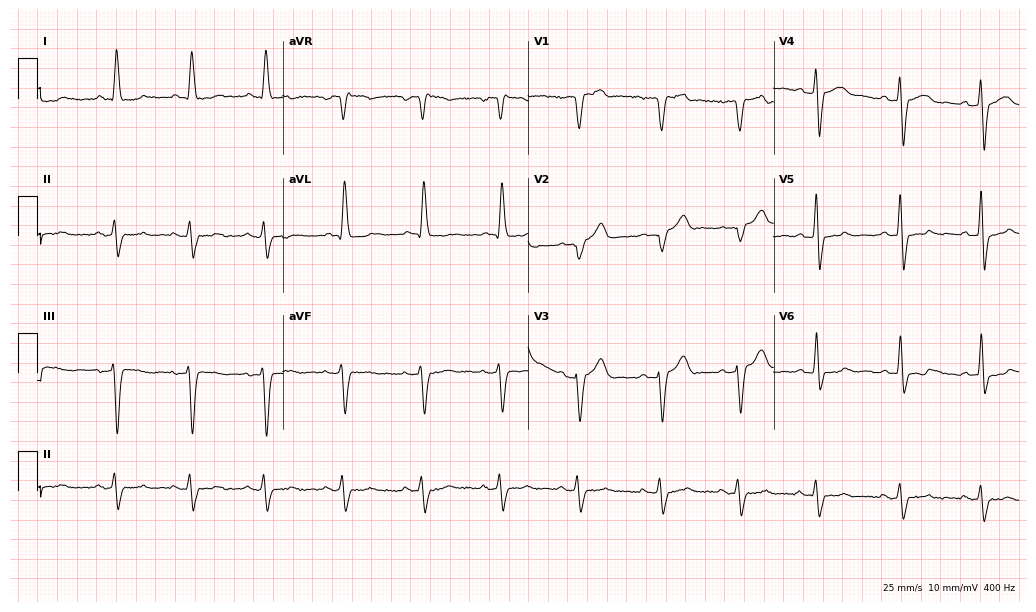
Standard 12-lead ECG recorded from a 65-year-old male. None of these six findings is recorded: first-degree AV block, right bundle branch block (RBBB), left bundle branch block (LBBB), sinus bradycardia, atrial fibrillation (AF), sinus tachycardia.